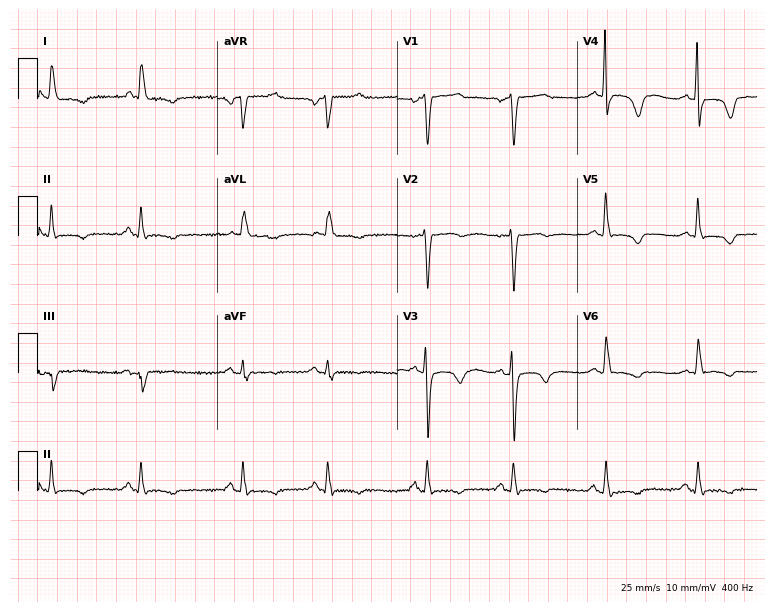
Resting 12-lead electrocardiogram. Patient: an 84-year-old female. None of these six findings is recorded: first-degree AV block, right bundle branch block, left bundle branch block, sinus bradycardia, atrial fibrillation, sinus tachycardia.